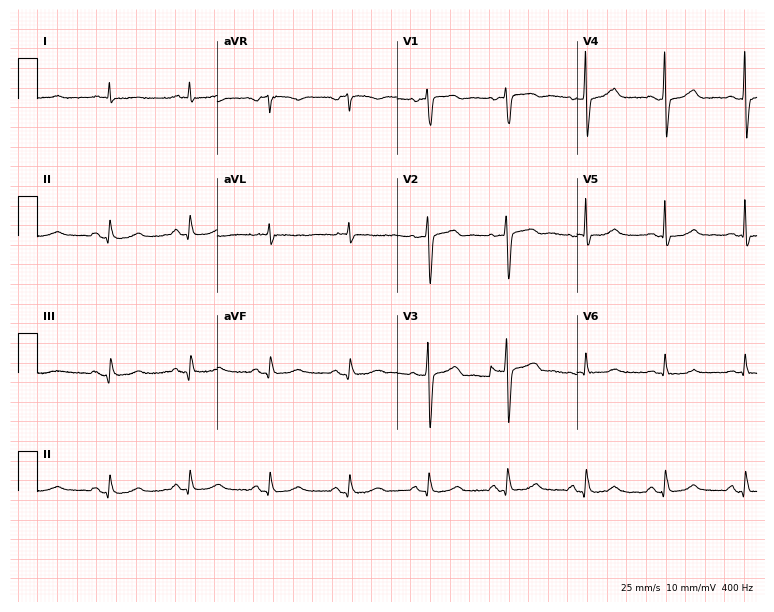
Resting 12-lead electrocardiogram. Patient: a male, 68 years old. None of these six findings is recorded: first-degree AV block, right bundle branch block, left bundle branch block, sinus bradycardia, atrial fibrillation, sinus tachycardia.